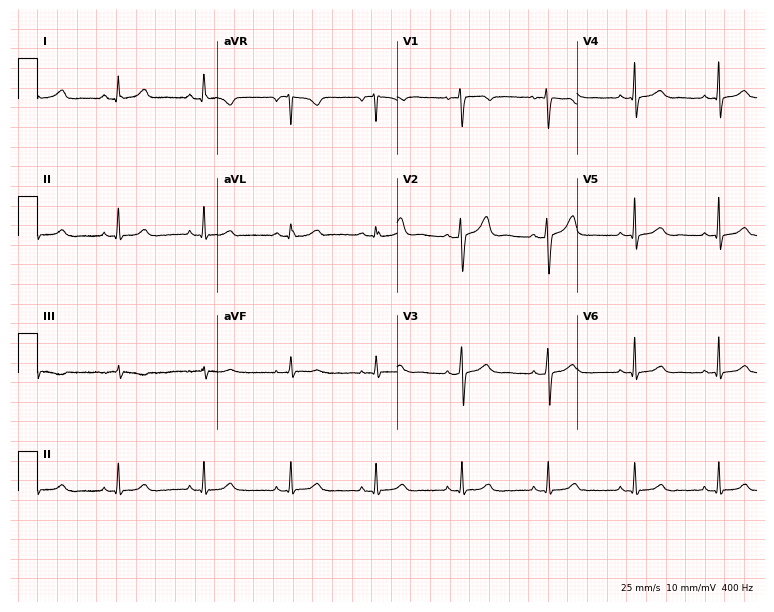
Standard 12-lead ECG recorded from a female patient, 25 years old. Read as a normal ECG.